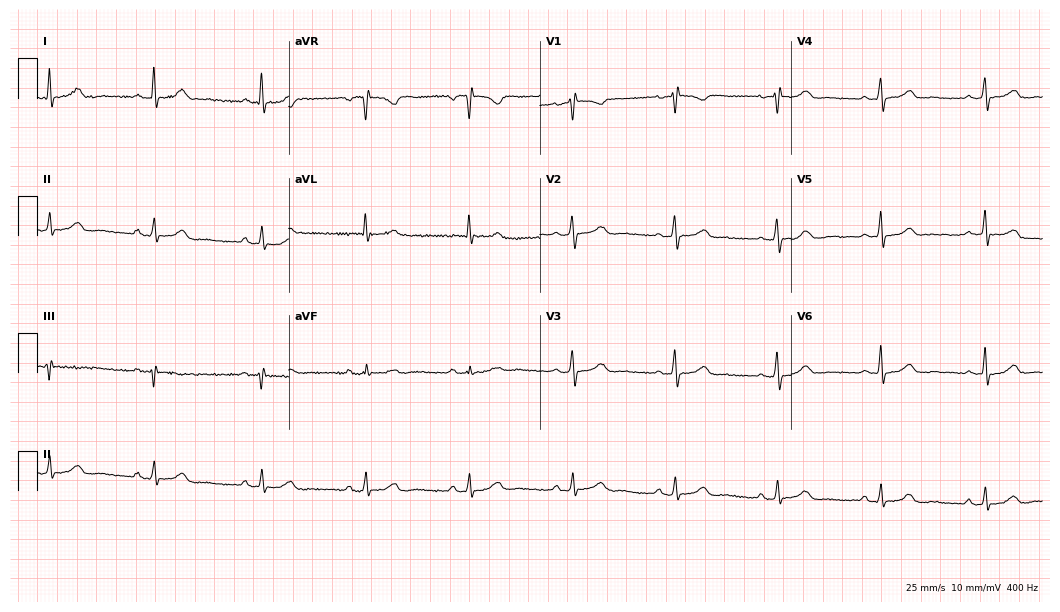
12-lead ECG (10.2-second recording at 400 Hz) from a 65-year-old woman. Labelled as a normal ECG.